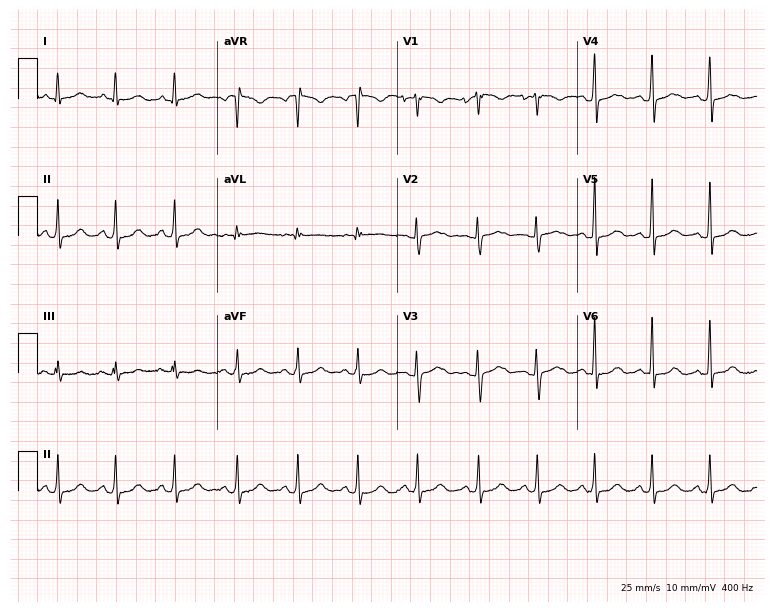
Standard 12-lead ECG recorded from a 21-year-old female patient (7.3-second recording at 400 Hz). Read as a normal ECG.